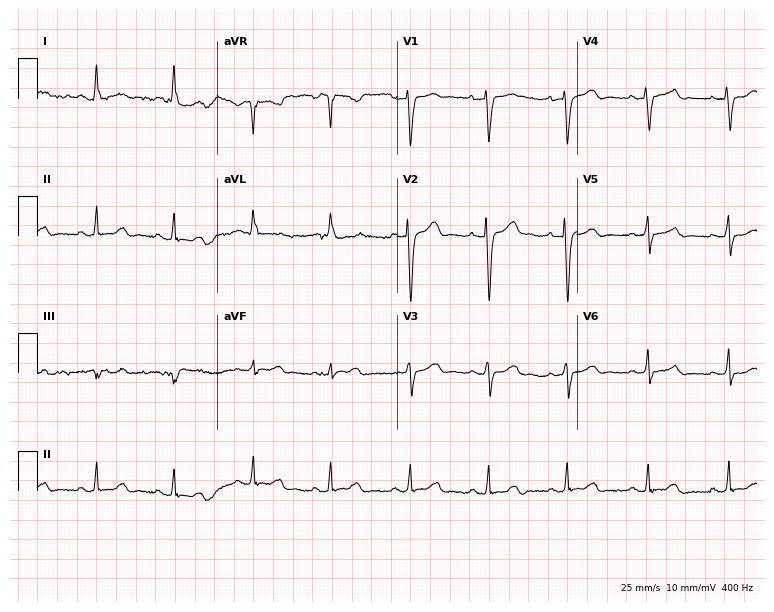
Standard 12-lead ECG recorded from a female, 60 years old (7.3-second recording at 400 Hz). Read as a normal ECG.